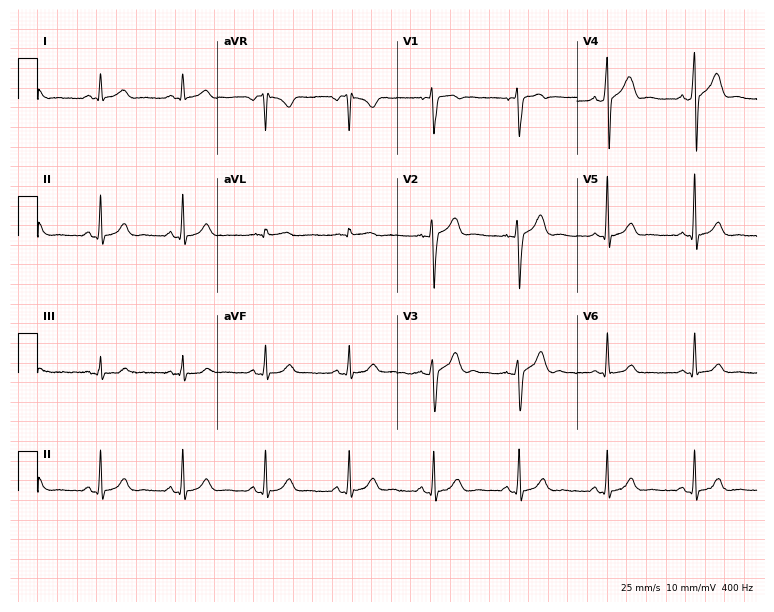
12-lead ECG from a male, 25 years old. Labelled as a normal ECG.